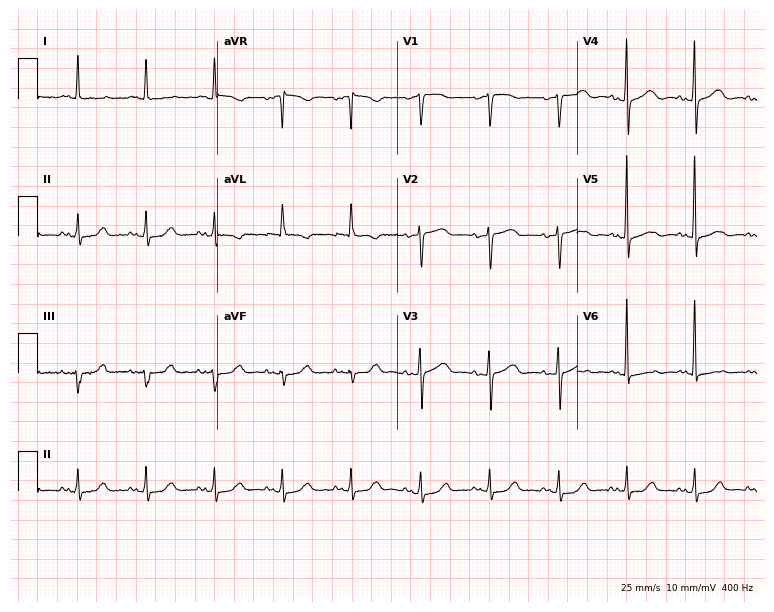
Standard 12-lead ECG recorded from an 83-year-old female (7.3-second recording at 400 Hz). None of these six findings is recorded: first-degree AV block, right bundle branch block, left bundle branch block, sinus bradycardia, atrial fibrillation, sinus tachycardia. Findings outside these six are not listed.